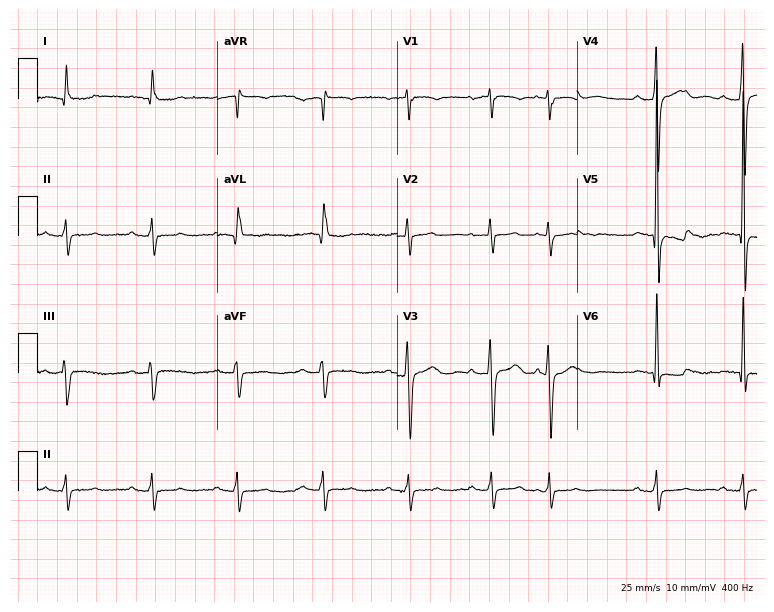
12-lead ECG from a man, 81 years old. Screened for six findings — first-degree AV block, right bundle branch block, left bundle branch block, sinus bradycardia, atrial fibrillation, sinus tachycardia — none is recorded. Other findings, if any, are not listed.